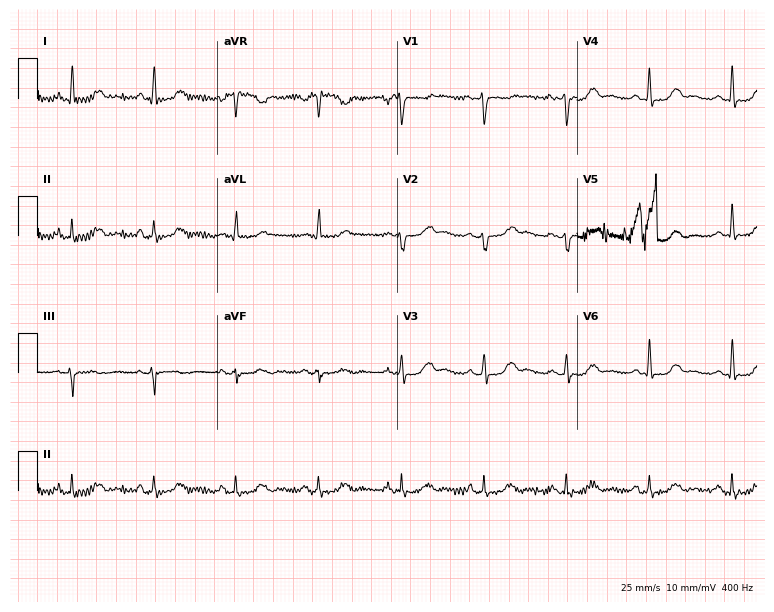
Resting 12-lead electrocardiogram. Patient: a female, 54 years old. None of these six findings is recorded: first-degree AV block, right bundle branch block, left bundle branch block, sinus bradycardia, atrial fibrillation, sinus tachycardia.